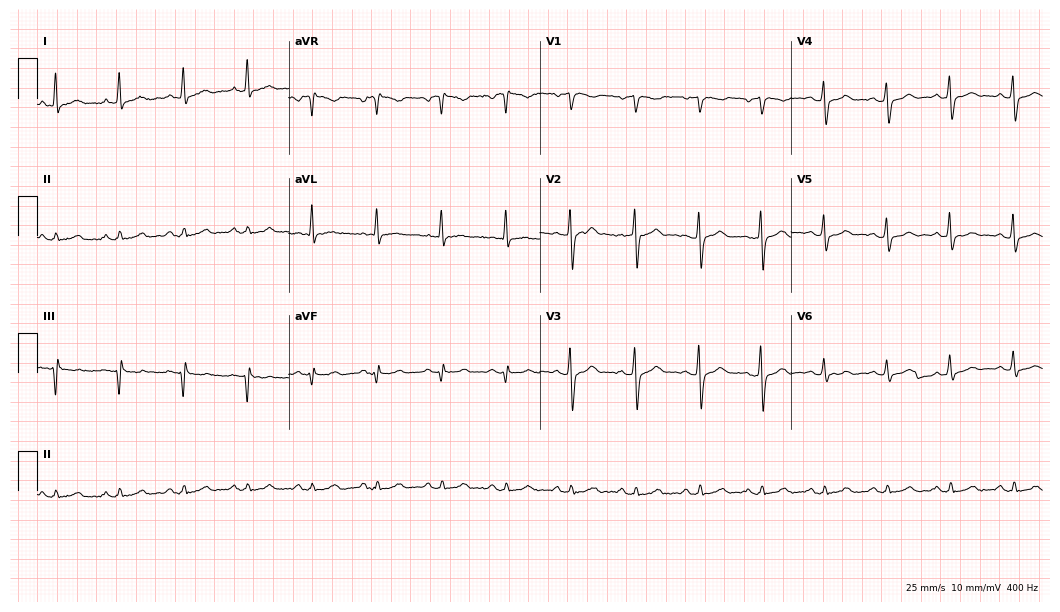
Electrocardiogram (10.2-second recording at 400 Hz), a 50-year-old man. Overall reading on record: normal ECG.